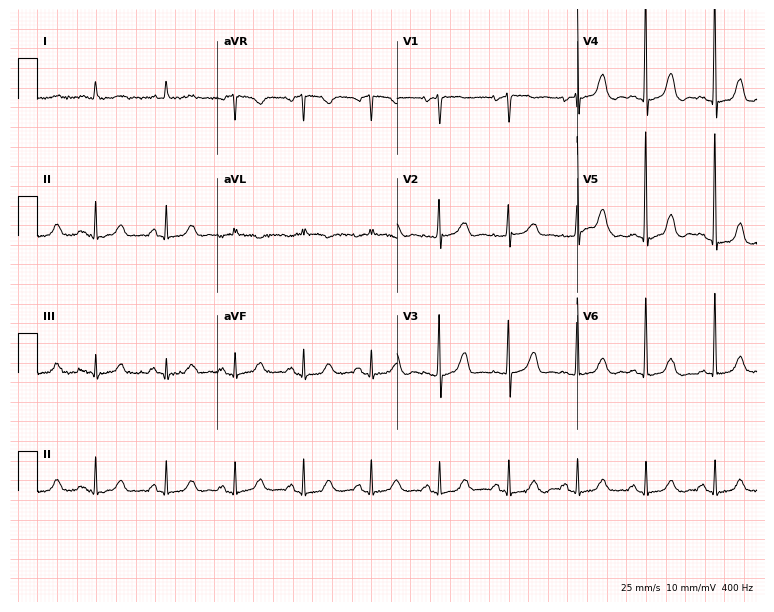
Resting 12-lead electrocardiogram (7.3-second recording at 400 Hz). Patient: a 77-year-old female. None of these six findings is recorded: first-degree AV block, right bundle branch block, left bundle branch block, sinus bradycardia, atrial fibrillation, sinus tachycardia. Other findings, if any, are not listed.